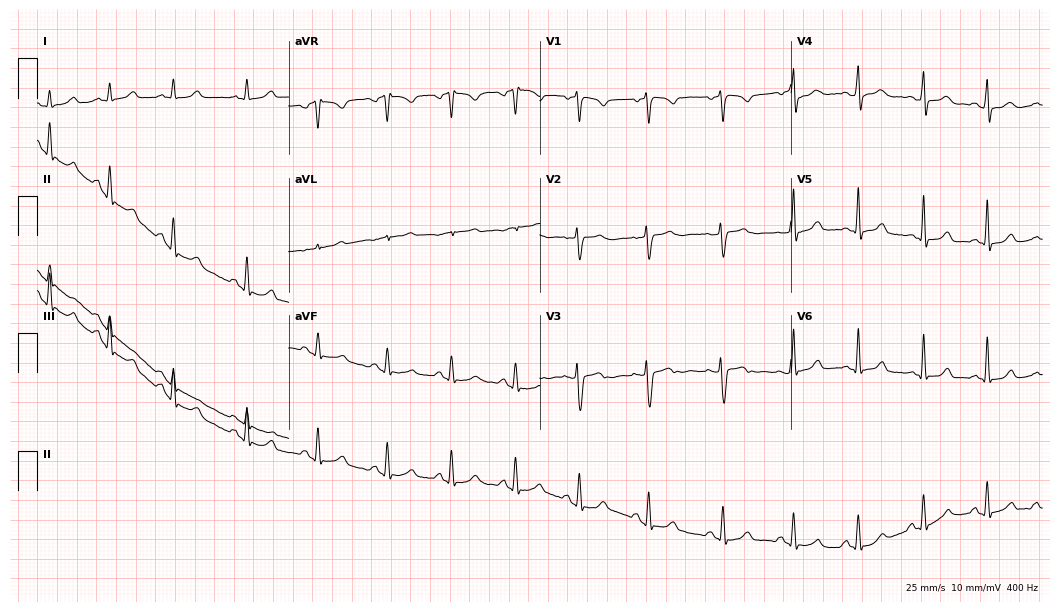
Standard 12-lead ECG recorded from a 37-year-old female patient. Read as a normal ECG.